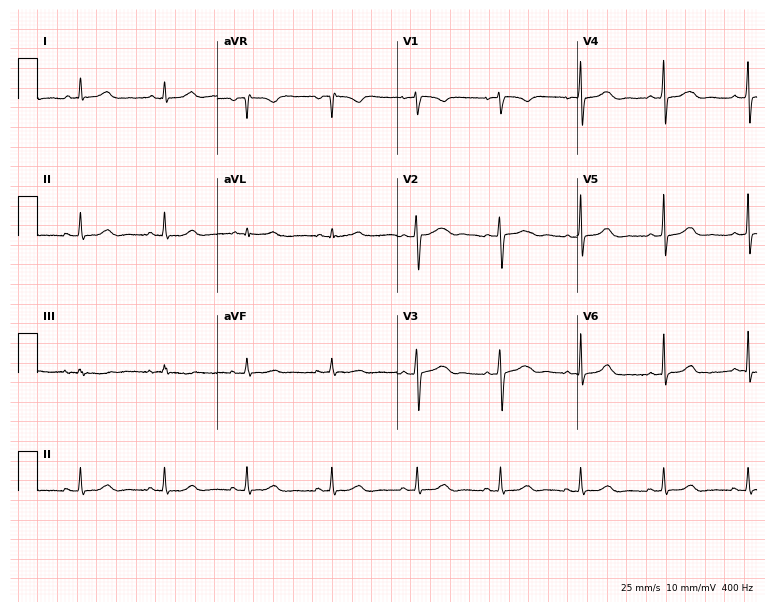
12-lead ECG from a female, 37 years old. No first-degree AV block, right bundle branch block, left bundle branch block, sinus bradycardia, atrial fibrillation or sinus tachycardia recorded for this tracing. Other findings, if any, are not listed.